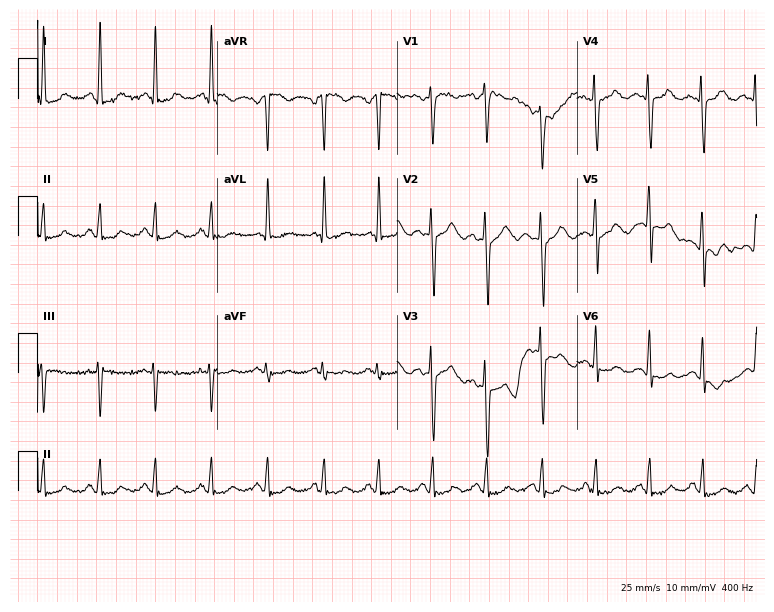
ECG (7.3-second recording at 400 Hz) — a female, 49 years old. Findings include sinus tachycardia (a sinus rate of 100 beats per minute or more).